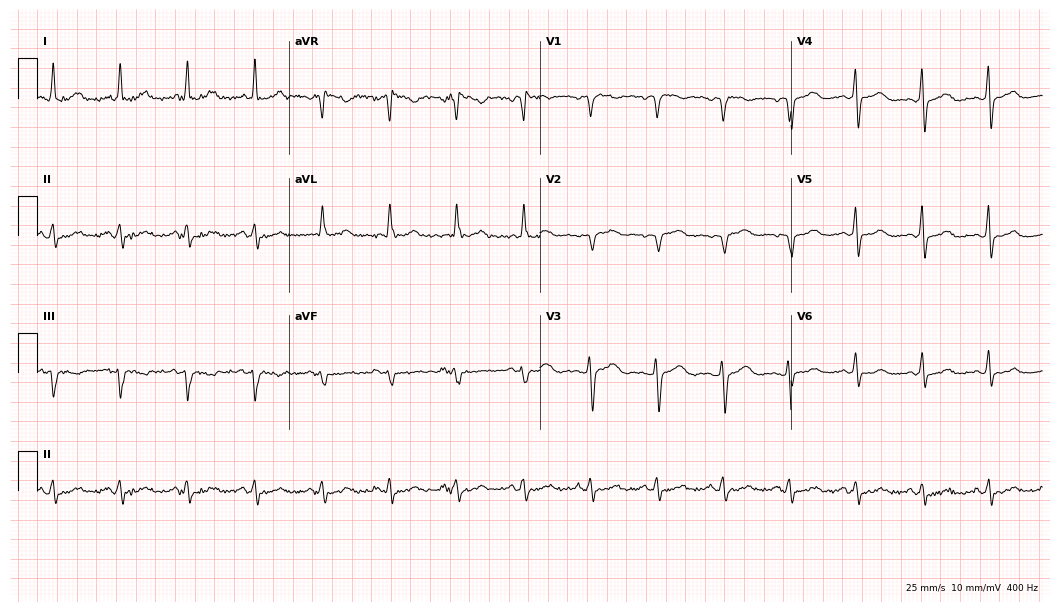
Resting 12-lead electrocardiogram. Patient: a woman, 53 years old. None of these six findings is recorded: first-degree AV block, right bundle branch block, left bundle branch block, sinus bradycardia, atrial fibrillation, sinus tachycardia.